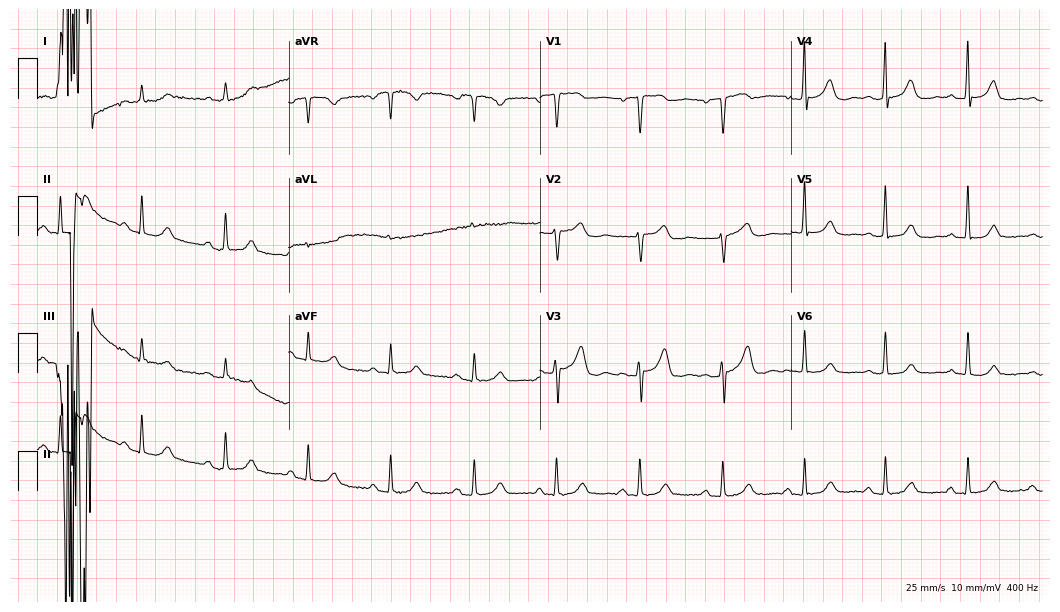
12-lead ECG from a 67-year-old female. Recorded interpretation: within normal limits.